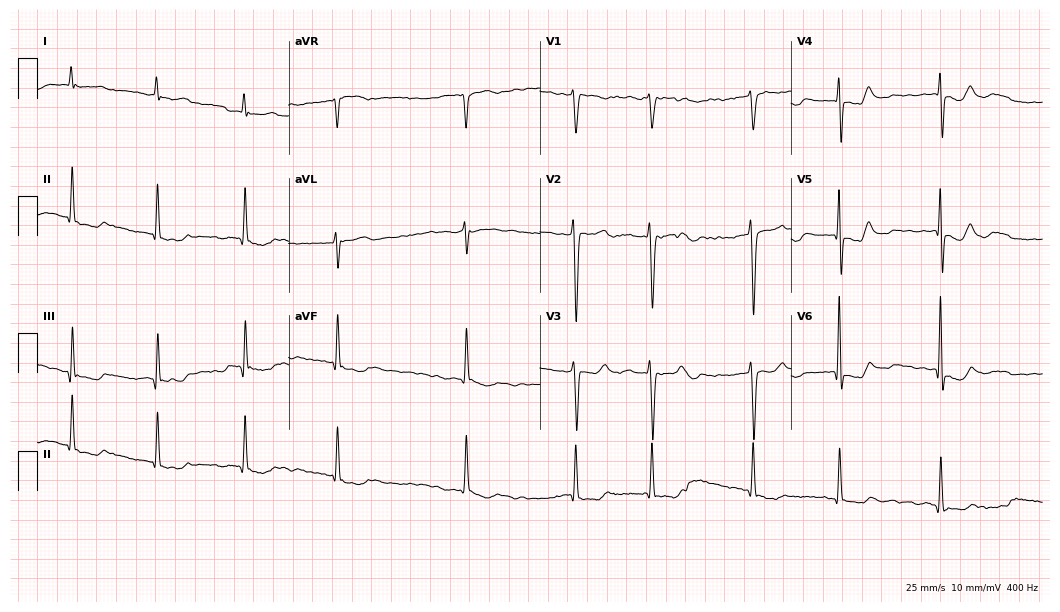
ECG — a 58-year-old woman. Screened for six findings — first-degree AV block, right bundle branch block (RBBB), left bundle branch block (LBBB), sinus bradycardia, atrial fibrillation (AF), sinus tachycardia — none is recorded.